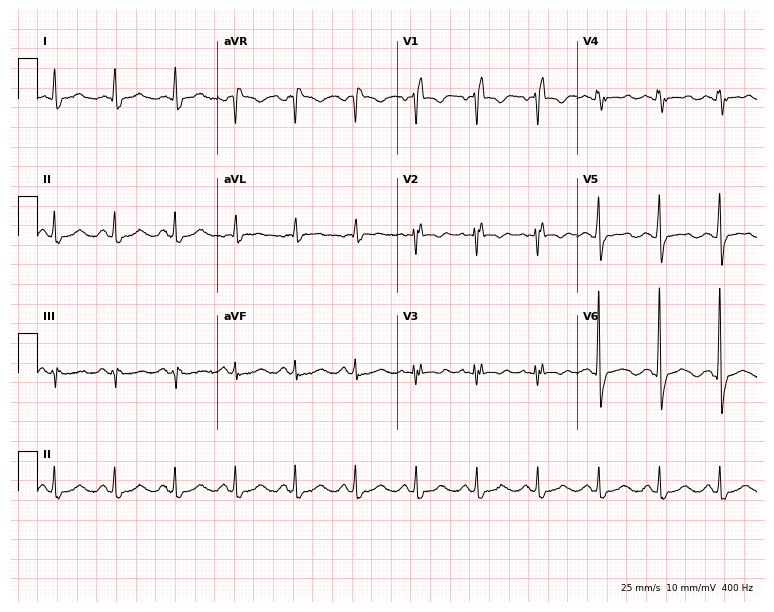
12-lead ECG (7.3-second recording at 400 Hz) from a female, 66 years old. Findings include right bundle branch block.